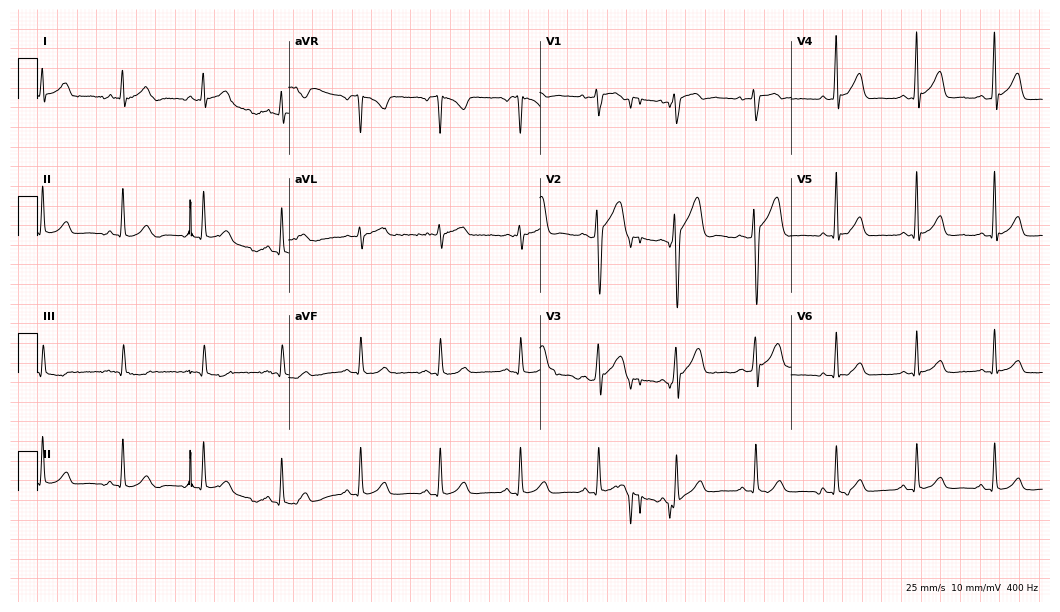
Resting 12-lead electrocardiogram. Patient: a 42-year-old male. Read as a normal ECG.